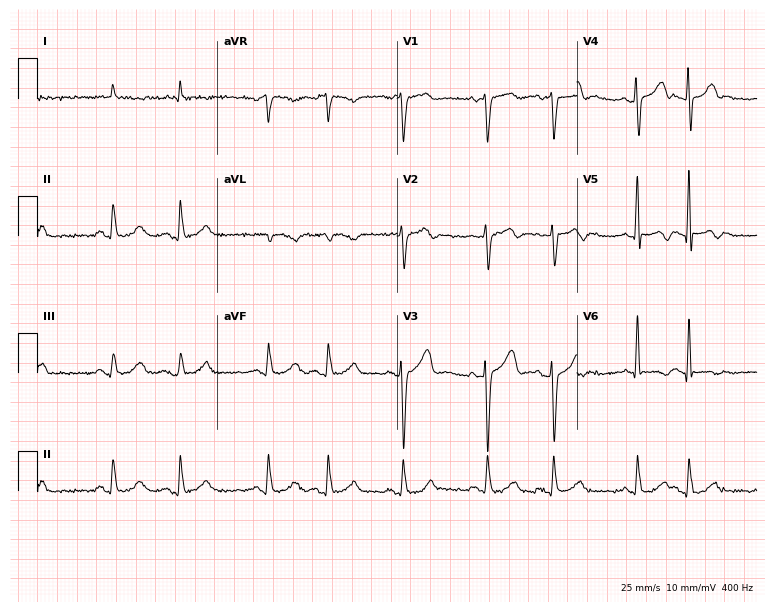
12-lead ECG (7.3-second recording at 400 Hz) from a man, 76 years old. Screened for six findings — first-degree AV block, right bundle branch block, left bundle branch block, sinus bradycardia, atrial fibrillation, sinus tachycardia — none is recorded.